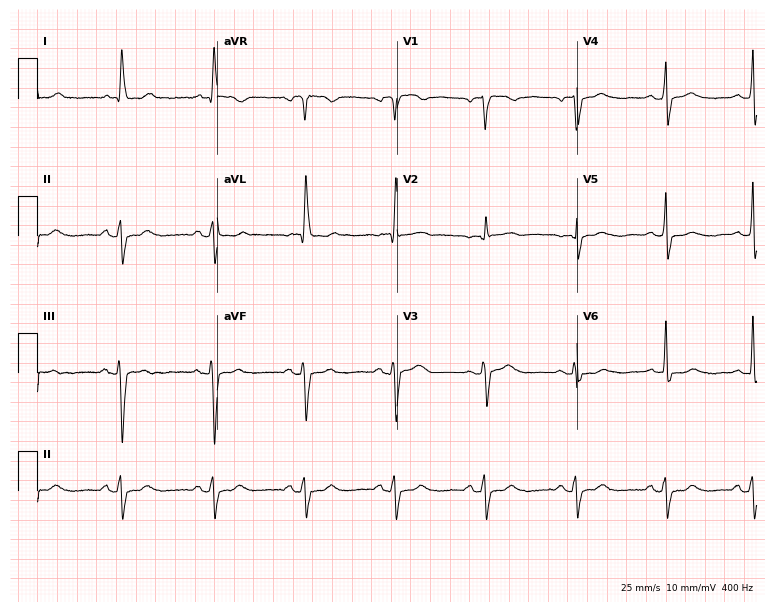
Resting 12-lead electrocardiogram. Patient: a 65-year-old female. None of these six findings is recorded: first-degree AV block, right bundle branch block, left bundle branch block, sinus bradycardia, atrial fibrillation, sinus tachycardia. Findings outside these six are not listed.